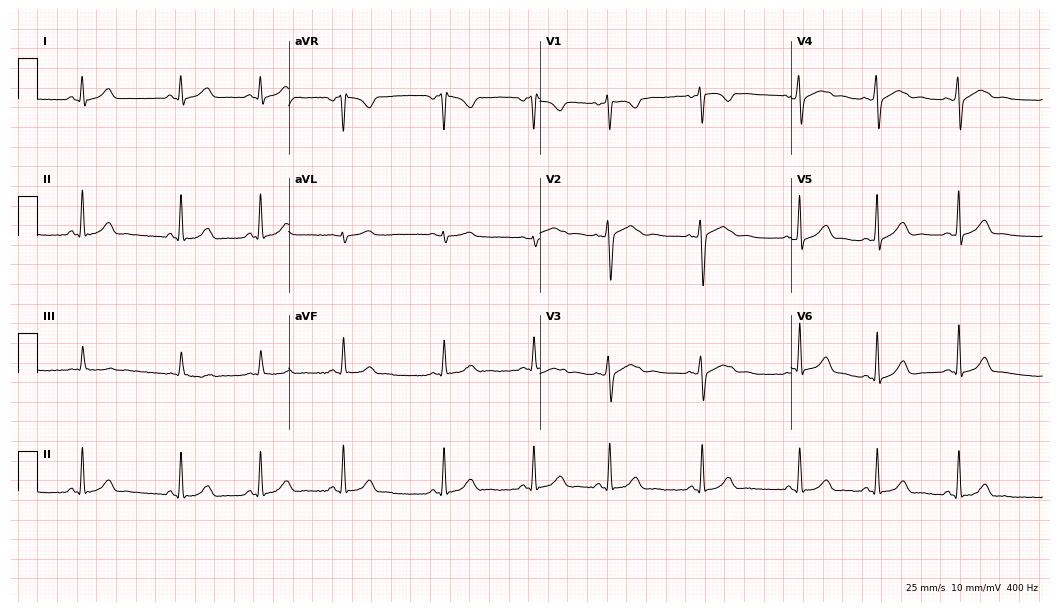
Resting 12-lead electrocardiogram (10.2-second recording at 400 Hz). Patient: a woman, 29 years old. Read as a normal ECG.